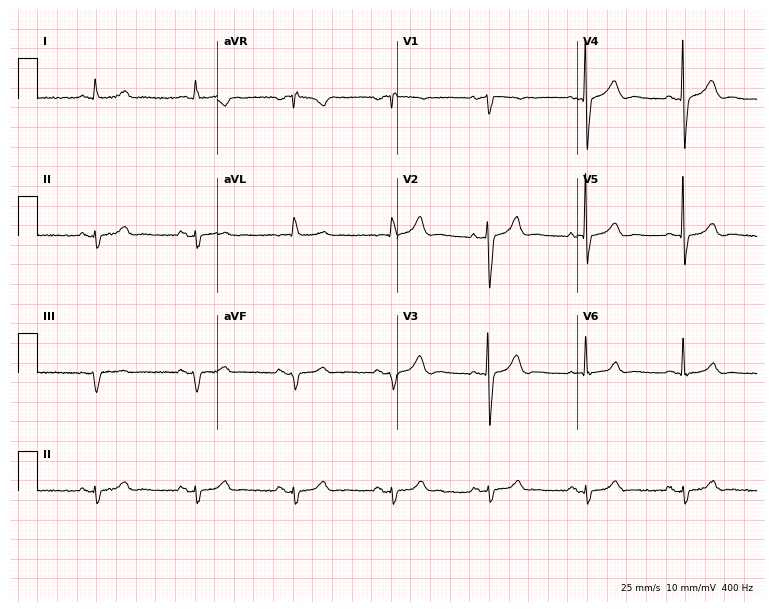
Standard 12-lead ECG recorded from a male patient, 83 years old (7.3-second recording at 400 Hz). None of these six findings is recorded: first-degree AV block, right bundle branch block (RBBB), left bundle branch block (LBBB), sinus bradycardia, atrial fibrillation (AF), sinus tachycardia.